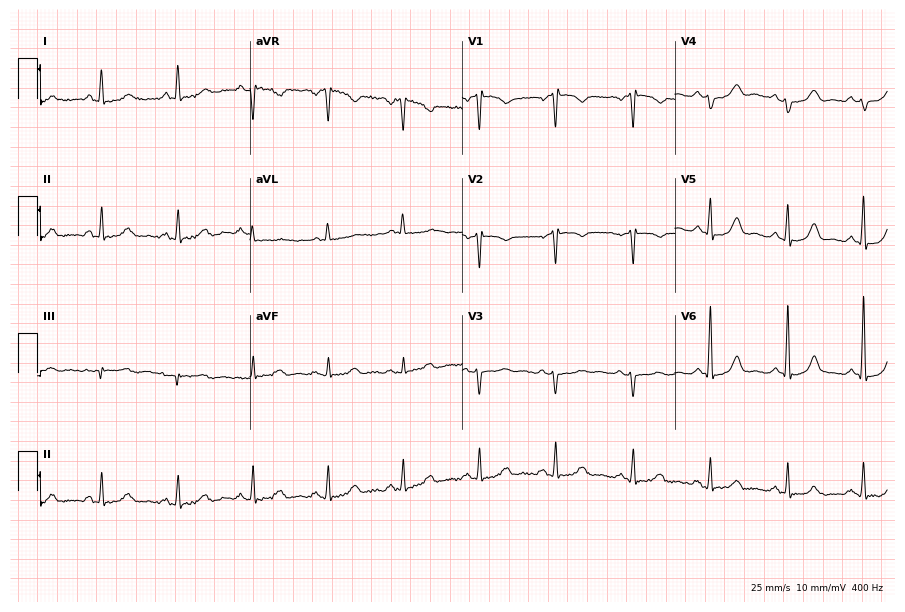
ECG — a 78-year-old woman. Screened for six findings — first-degree AV block, right bundle branch block (RBBB), left bundle branch block (LBBB), sinus bradycardia, atrial fibrillation (AF), sinus tachycardia — none is recorded. Findings outside these six are not listed.